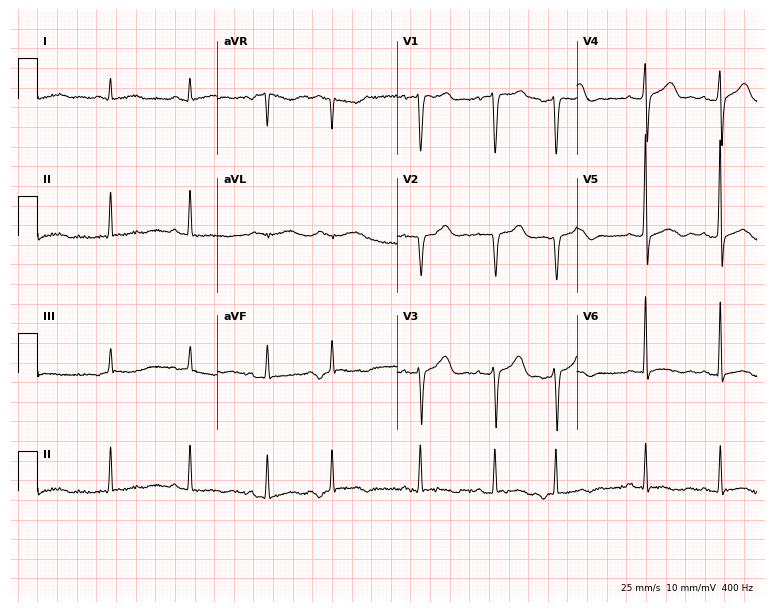
Standard 12-lead ECG recorded from a male, 37 years old (7.3-second recording at 400 Hz). None of these six findings is recorded: first-degree AV block, right bundle branch block, left bundle branch block, sinus bradycardia, atrial fibrillation, sinus tachycardia. Other findings, if any, are not listed.